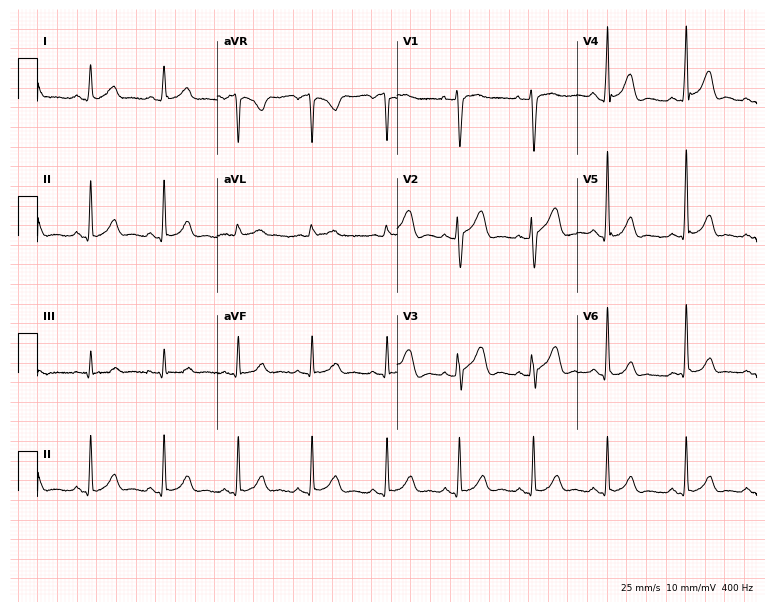
ECG (7.3-second recording at 400 Hz) — a 36-year-old woman. Screened for six findings — first-degree AV block, right bundle branch block (RBBB), left bundle branch block (LBBB), sinus bradycardia, atrial fibrillation (AF), sinus tachycardia — none is recorded. Only these six findings were labelled.